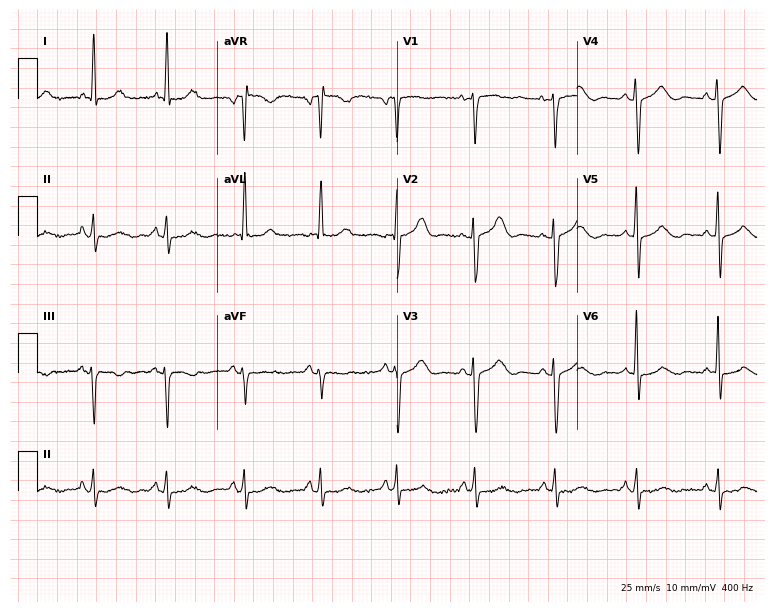
Electrocardiogram (7.3-second recording at 400 Hz), a 65-year-old female. Overall reading on record: normal ECG.